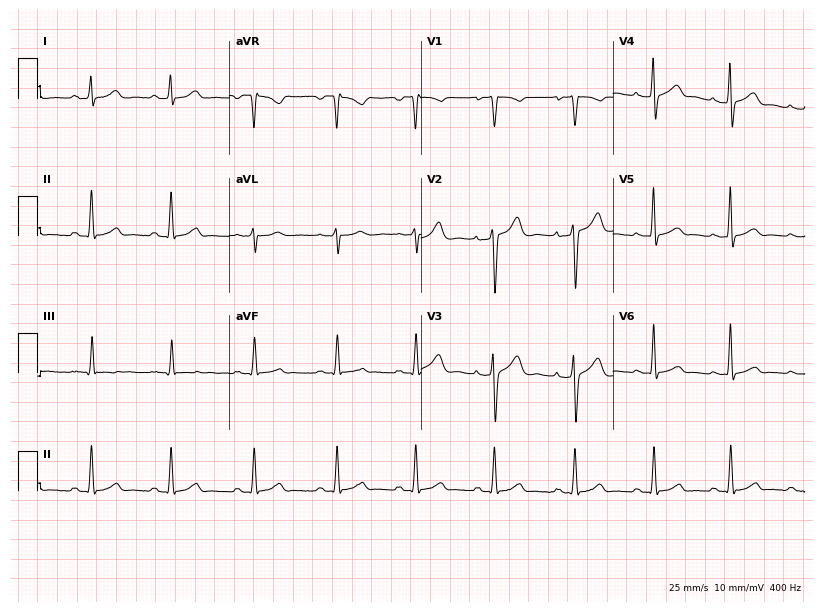
12-lead ECG from a 21-year-old man. Screened for six findings — first-degree AV block, right bundle branch block (RBBB), left bundle branch block (LBBB), sinus bradycardia, atrial fibrillation (AF), sinus tachycardia — none is recorded.